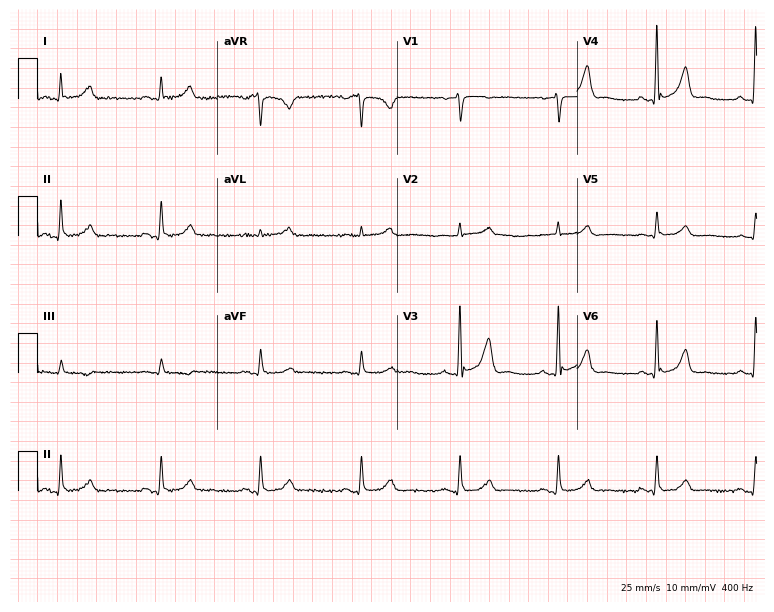
Electrocardiogram (7.3-second recording at 400 Hz), a male, 64 years old. Overall reading on record: normal ECG.